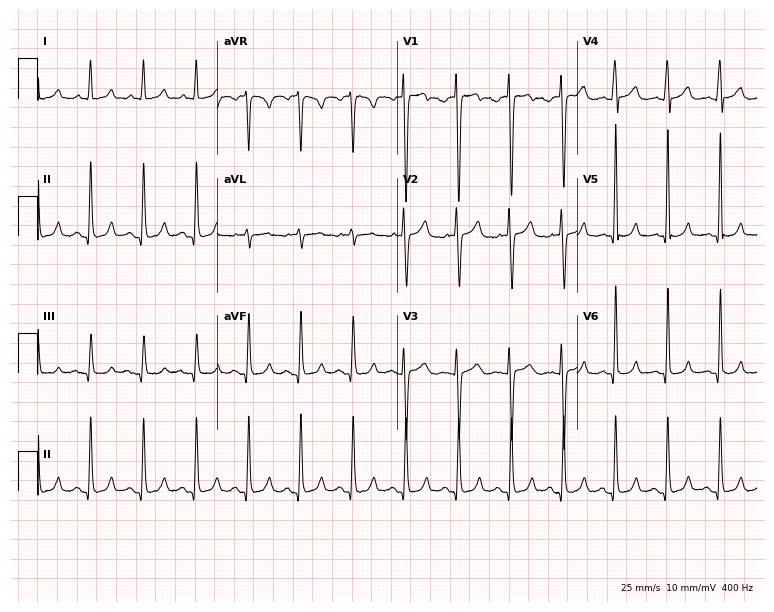
Standard 12-lead ECG recorded from a 29-year-old female patient (7.3-second recording at 400 Hz). The tracing shows sinus tachycardia (a sinus rate of 100 beats per minute or more).